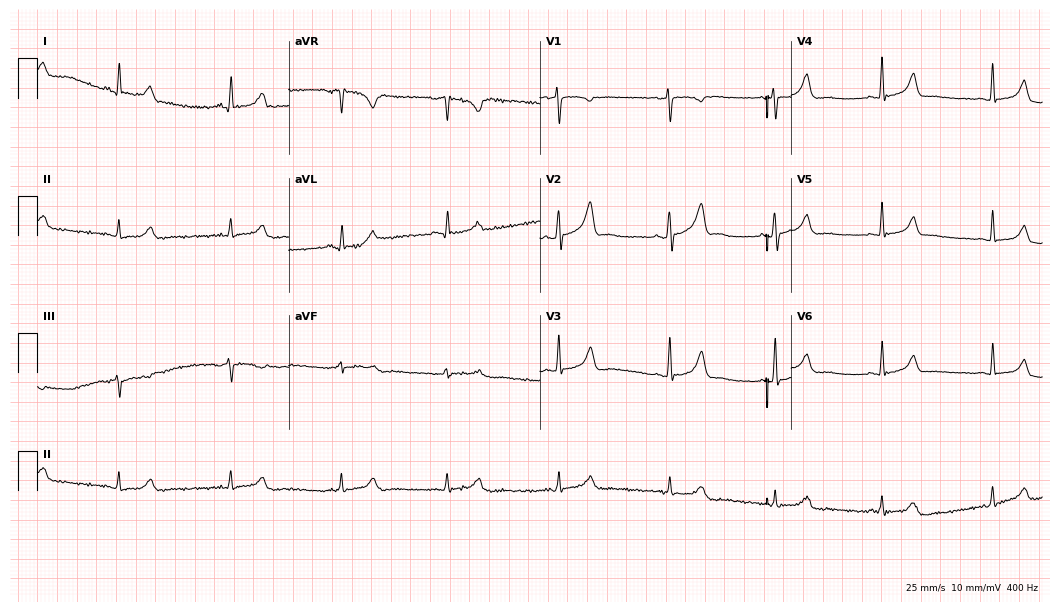
Electrocardiogram, a female patient, 37 years old. Overall reading on record: normal ECG.